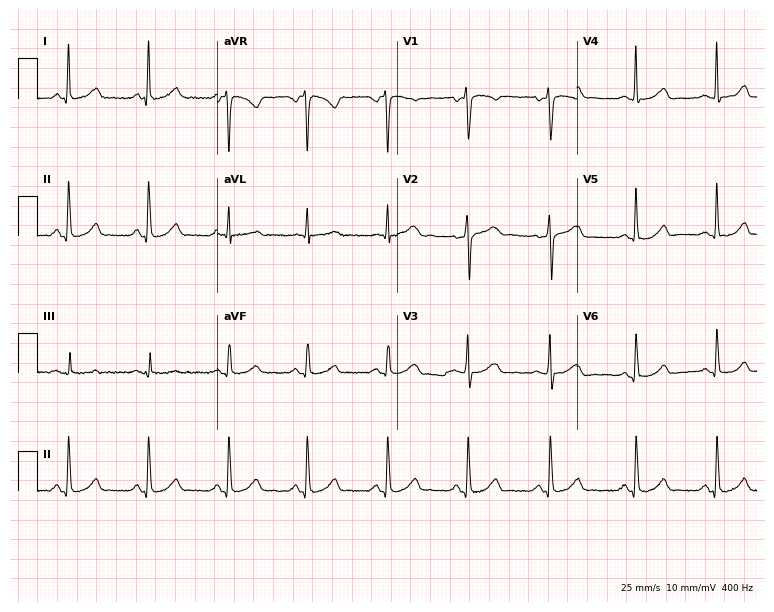
ECG (7.3-second recording at 400 Hz) — a 40-year-old female patient. Screened for six findings — first-degree AV block, right bundle branch block, left bundle branch block, sinus bradycardia, atrial fibrillation, sinus tachycardia — none is recorded. Only these six findings were labelled.